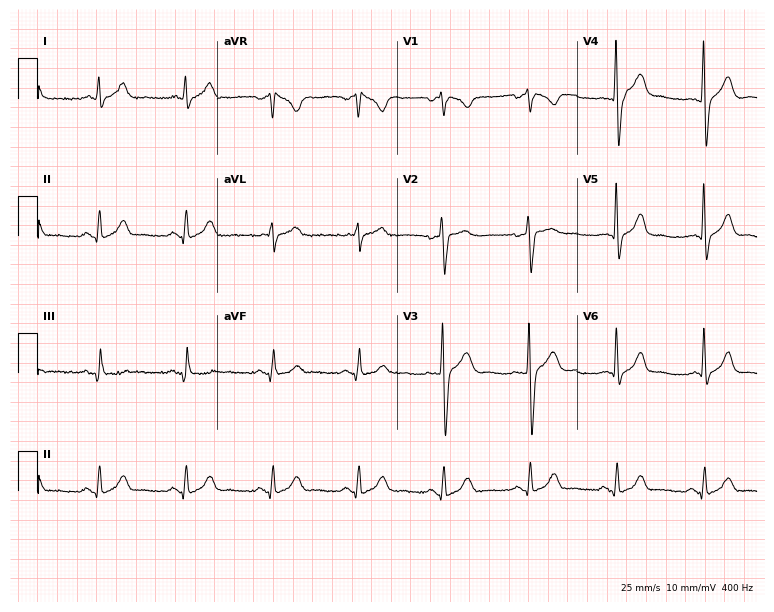
Resting 12-lead electrocardiogram. Patient: a man, 51 years old. None of these six findings is recorded: first-degree AV block, right bundle branch block, left bundle branch block, sinus bradycardia, atrial fibrillation, sinus tachycardia.